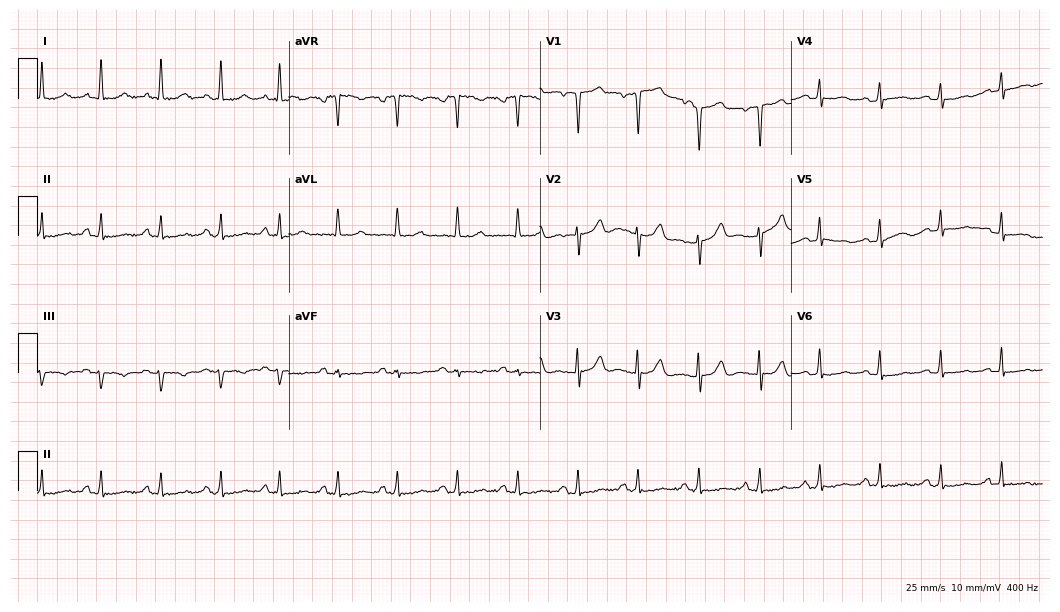
Standard 12-lead ECG recorded from a female patient, 46 years old. None of these six findings is recorded: first-degree AV block, right bundle branch block (RBBB), left bundle branch block (LBBB), sinus bradycardia, atrial fibrillation (AF), sinus tachycardia.